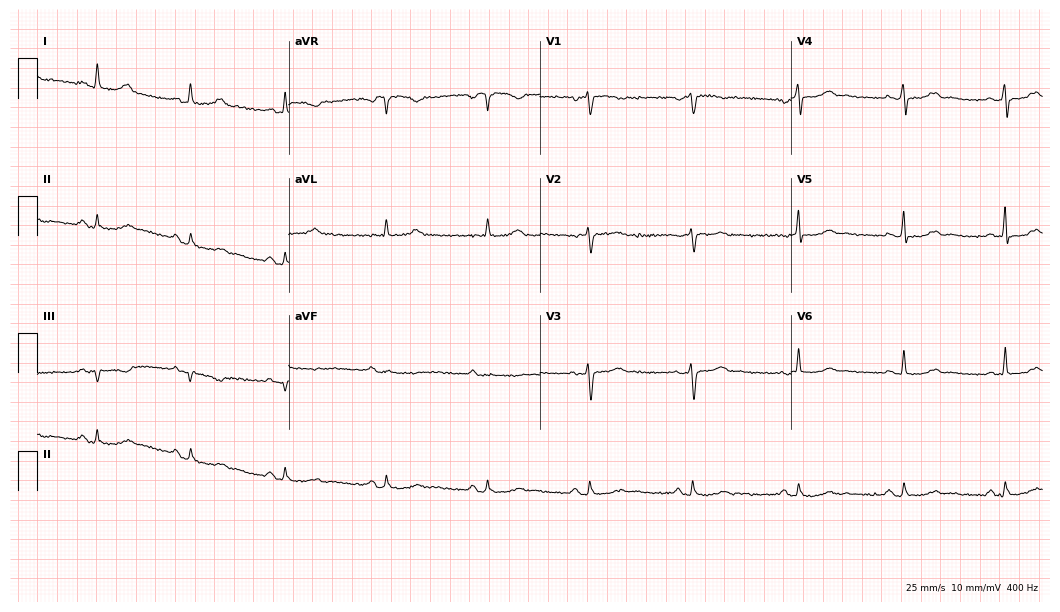
12-lead ECG (10.2-second recording at 400 Hz) from a female patient, 52 years old. Screened for six findings — first-degree AV block, right bundle branch block, left bundle branch block, sinus bradycardia, atrial fibrillation, sinus tachycardia — none is recorded.